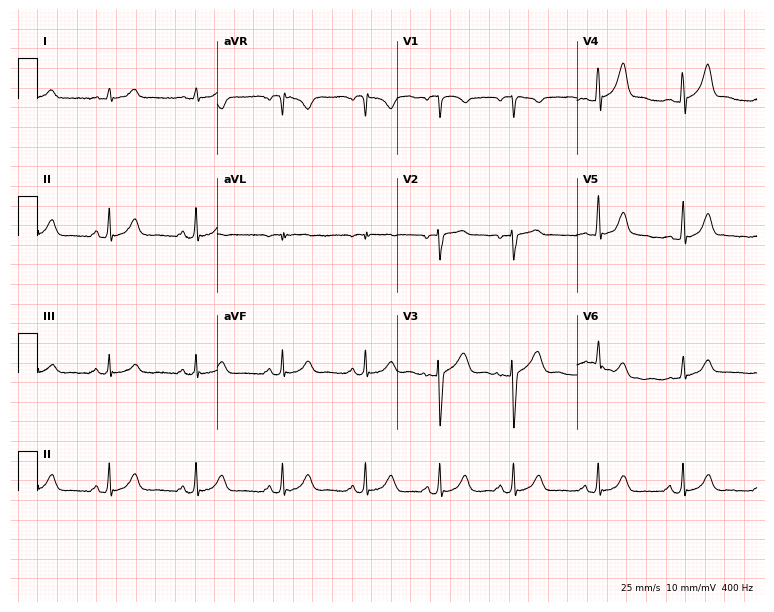
Resting 12-lead electrocardiogram. Patient: a woman, 18 years old. Read as a normal ECG.